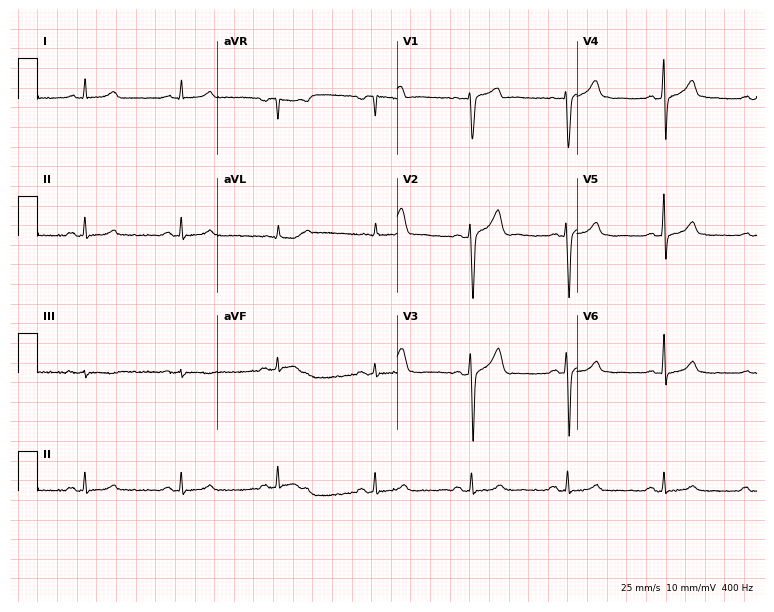
ECG (7.3-second recording at 400 Hz) — a 59-year-old male. Labelled as a normal ECG.